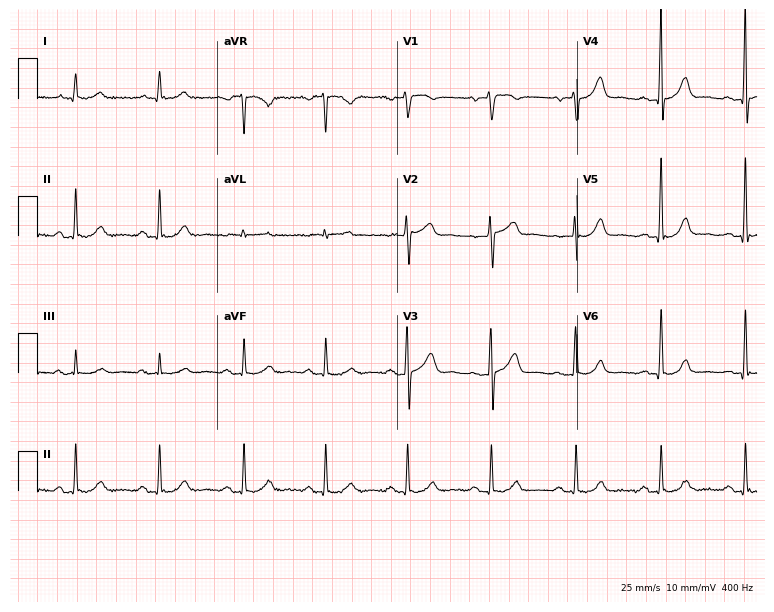
12-lead ECG from a male, 72 years old. Labelled as a normal ECG.